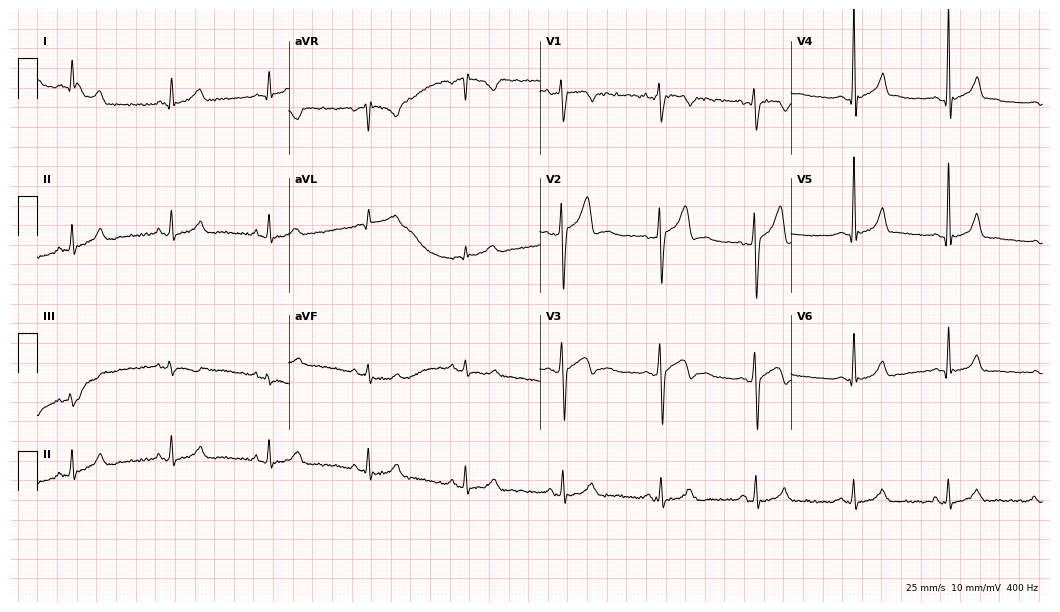
12-lead ECG (10.2-second recording at 400 Hz) from a 25-year-old male patient. Labelled as a normal ECG.